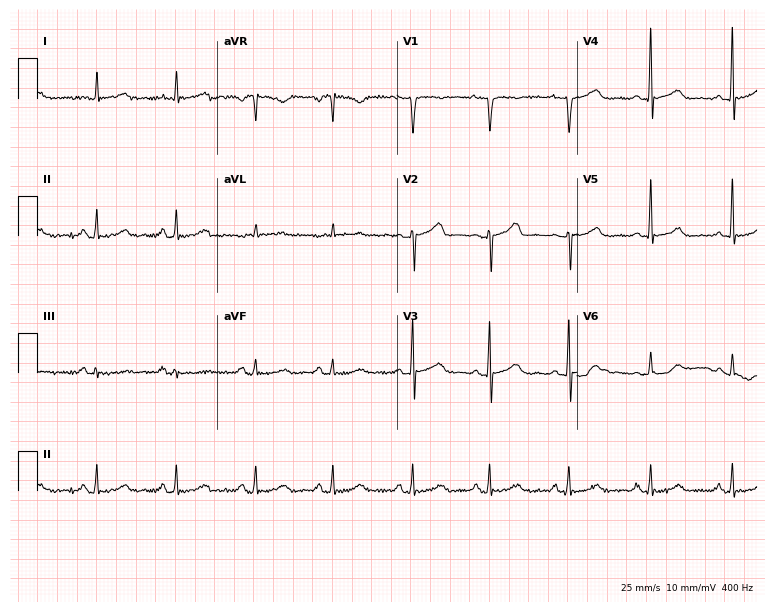
12-lead ECG from a 49-year-old woman. Screened for six findings — first-degree AV block, right bundle branch block, left bundle branch block, sinus bradycardia, atrial fibrillation, sinus tachycardia — none is recorded.